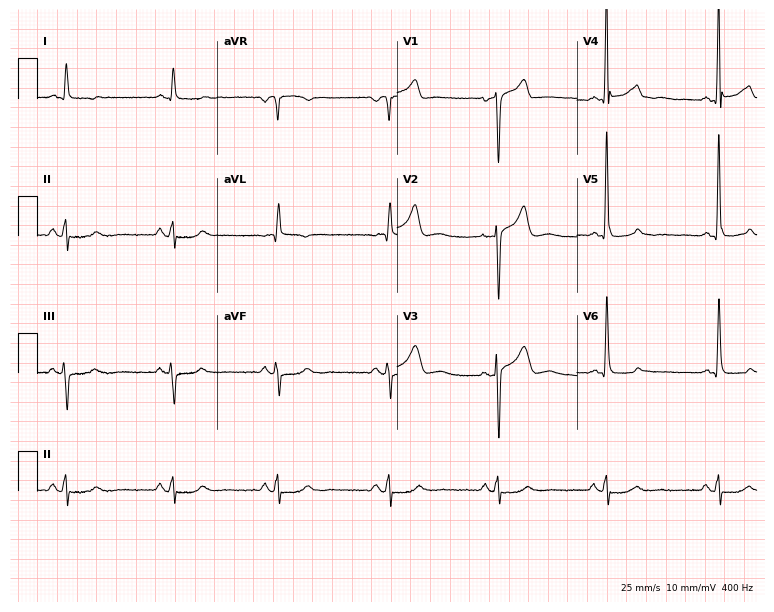
12-lead ECG from a 43-year-old male (7.3-second recording at 400 Hz). No first-degree AV block, right bundle branch block, left bundle branch block, sinus bradycardia, atrial fibrillation or sinus tachycardia recorded for this tracing. Only these six findings were labelled.